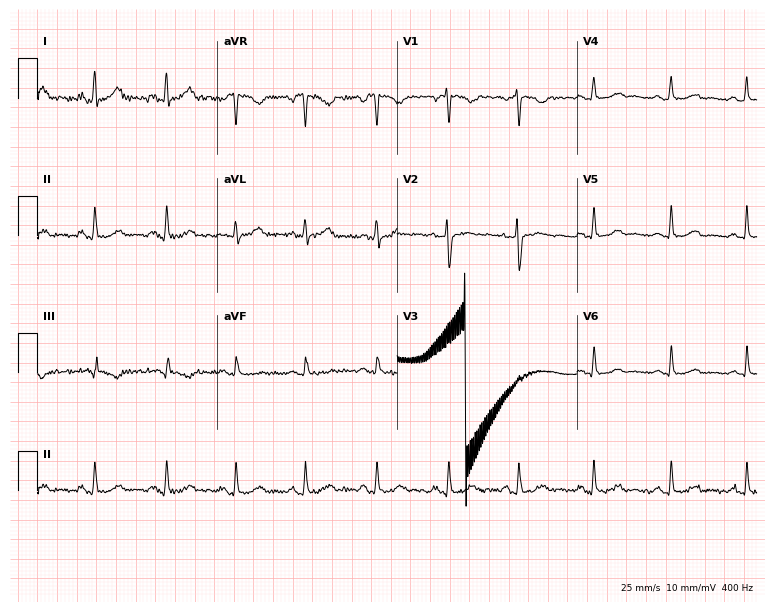
Electrocardiogram, a woman, 29 years old. Of the six screened findings (first-degree AV block, right bundle branch block (RBBB), left bundle branch block (LBBB), sinus bradycardia, atrial fibrillation (AF), sinus tachycardia), none is recorded.